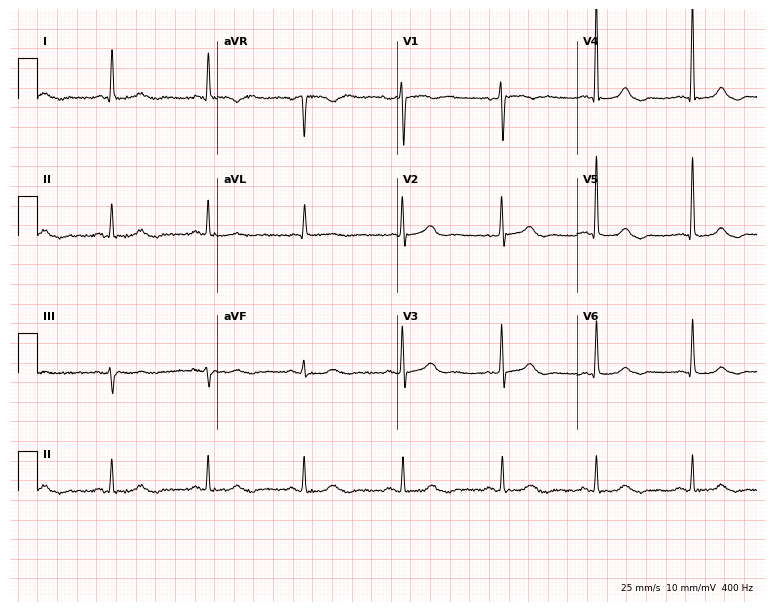
12-lead ECG (7.3-second recording at 400 Hz) from an 81-year-old female. Screened for six findings — first-degree AV block, right bundle branch block, left bundle branch block, sinus bradycardia, atrial fibrillation, sinus tachycardia — none is recorded.